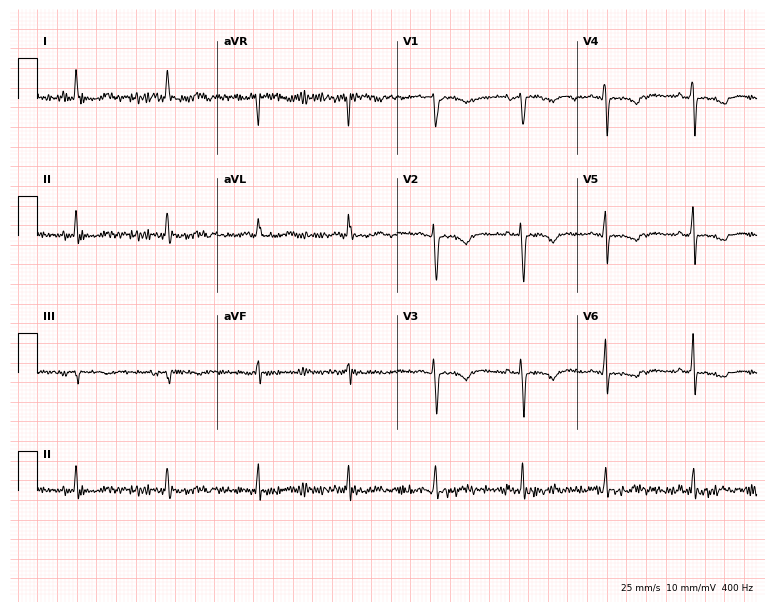
Resting 12-lead electrocardiogram (7.3-second recording at 400 Hz). Patient: a 46-year-old woman. None of these six findings is recorded: first-degree AV block, right bundle branch block, left bundle branch block, sinus bradycardia, atrial fibrillation, sinus tachycardia. Other findings, if any, are not listed.